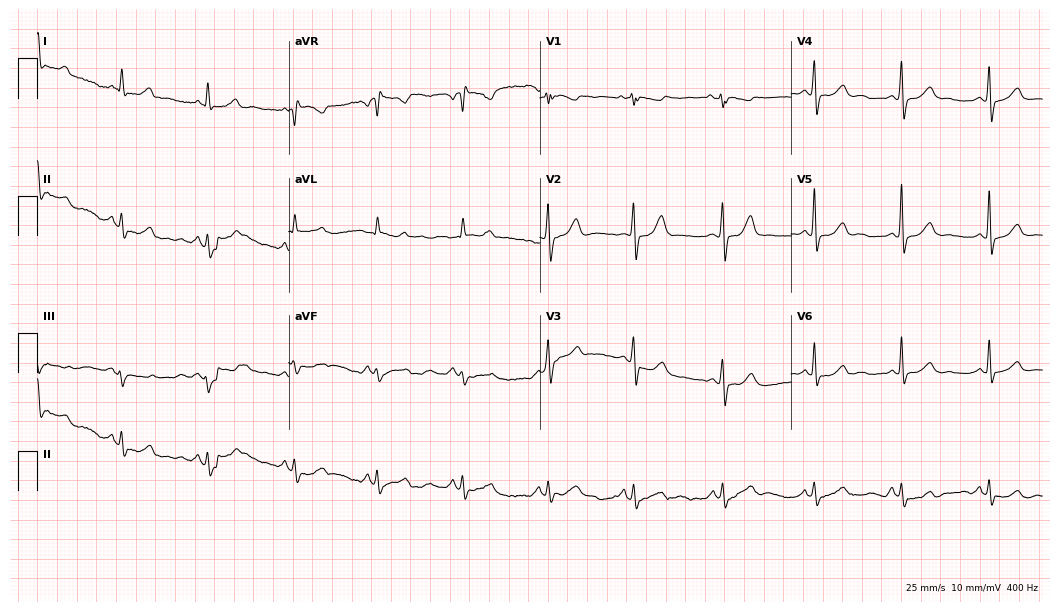
ECG (10.2-second recording at 400 Hz) — a 66-year-old female patient. Labelled as a normal ECG.